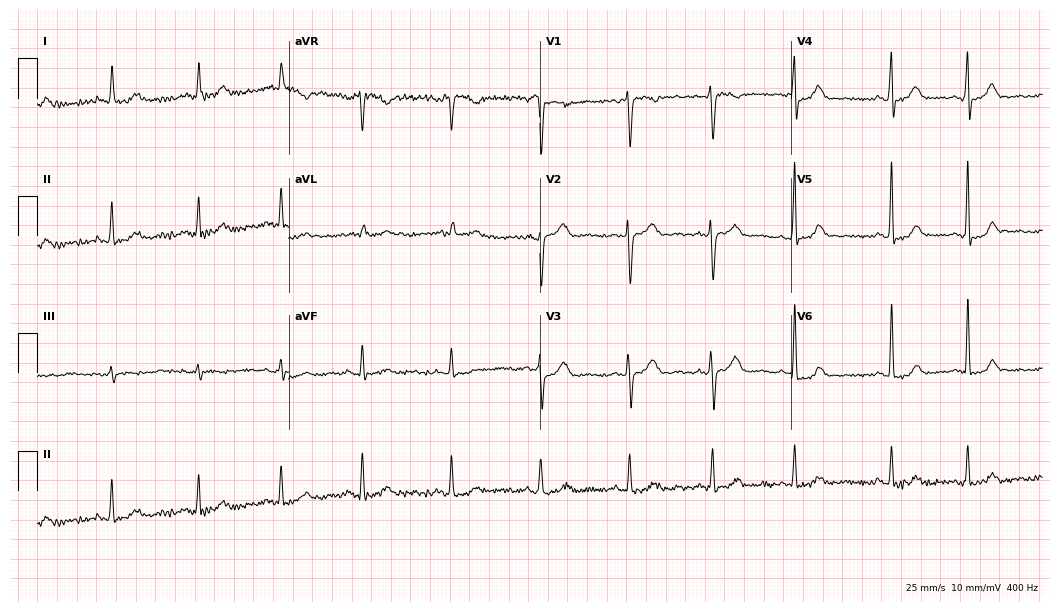
Electrocardiogram, a 46-year-old female. Of the six screened findings (first-degree AV block, right bundle branch block, left bundle branch block, sinus bradycardia, atrial fibrillation, sinus tachycardia), none is recorded. Other findings, if any, are not listed.